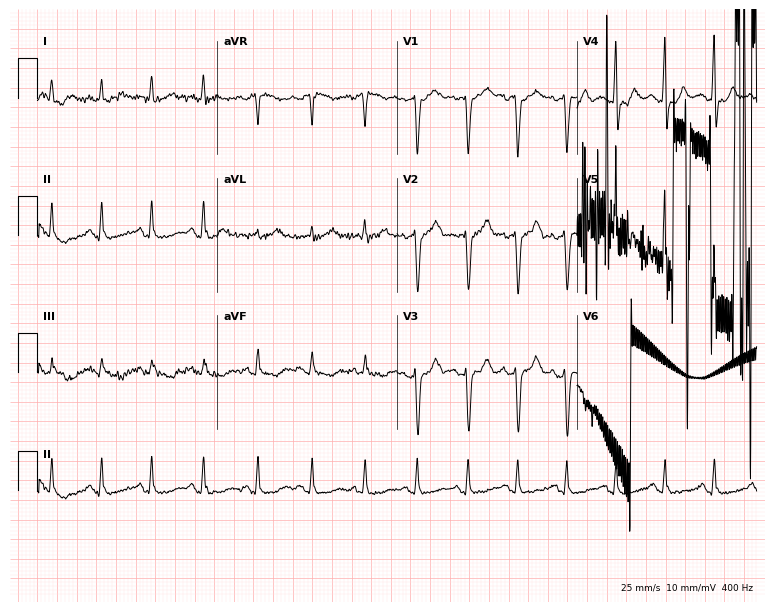
12-lead ECG from a woman, 42 years old. Screened for six findings — first-degree AV block, right bundle branch block, left bundle branch block, sinus bradycardia, atrial fibrillation, sinus tachycardia — none is recorded. Only these six findings were labelled.